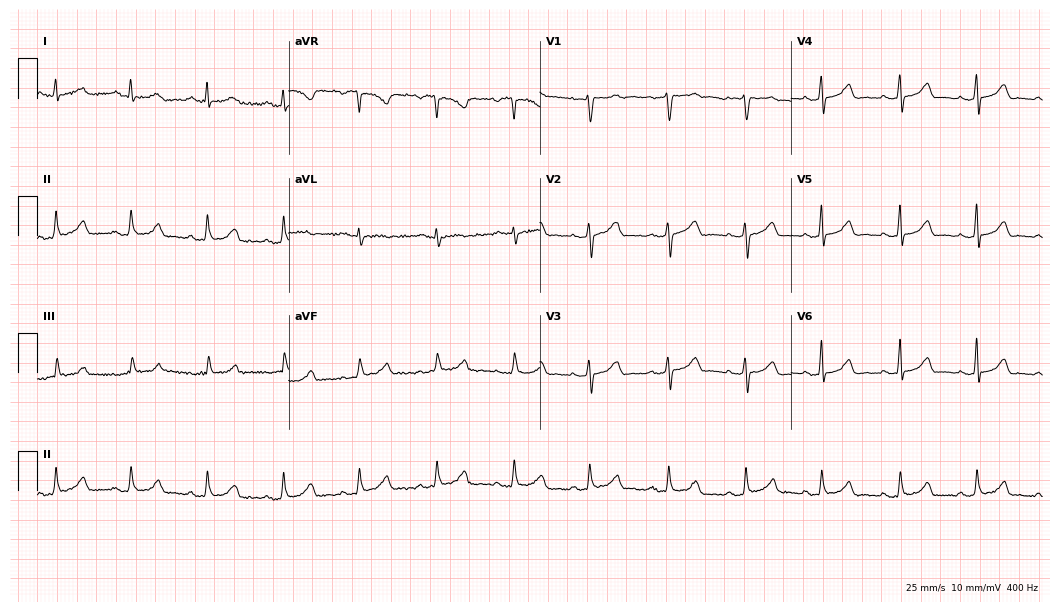
ECG — a female, 44 years old. Labelled as a normal ECG.